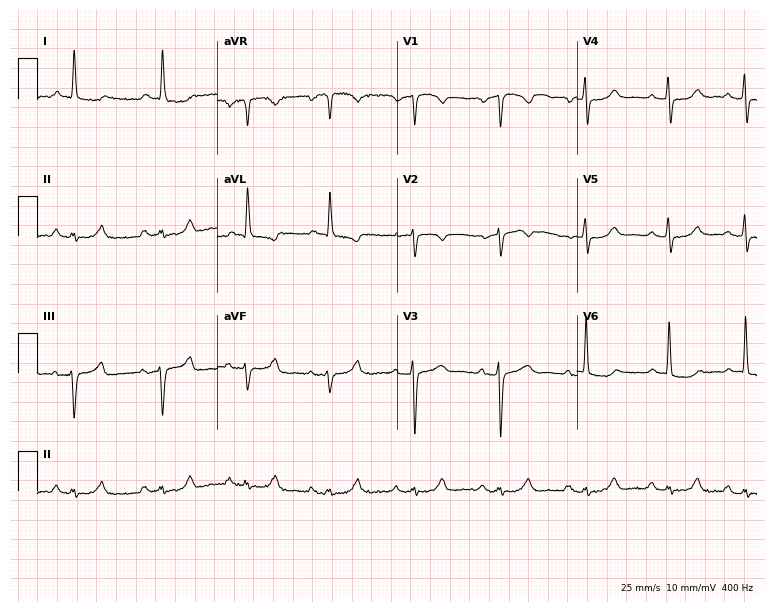
Resting 12-lead electrocardiogram (7.3-second recording at 400 Hz). Patient: a female, 79 years old. None of these six findings is recorded: first-degree AV block, right bundle branch block, left bundle branch block, sinus bradycardia, atrial fibrillation, sinus tachycardia. Other findings, if any, are not listed.